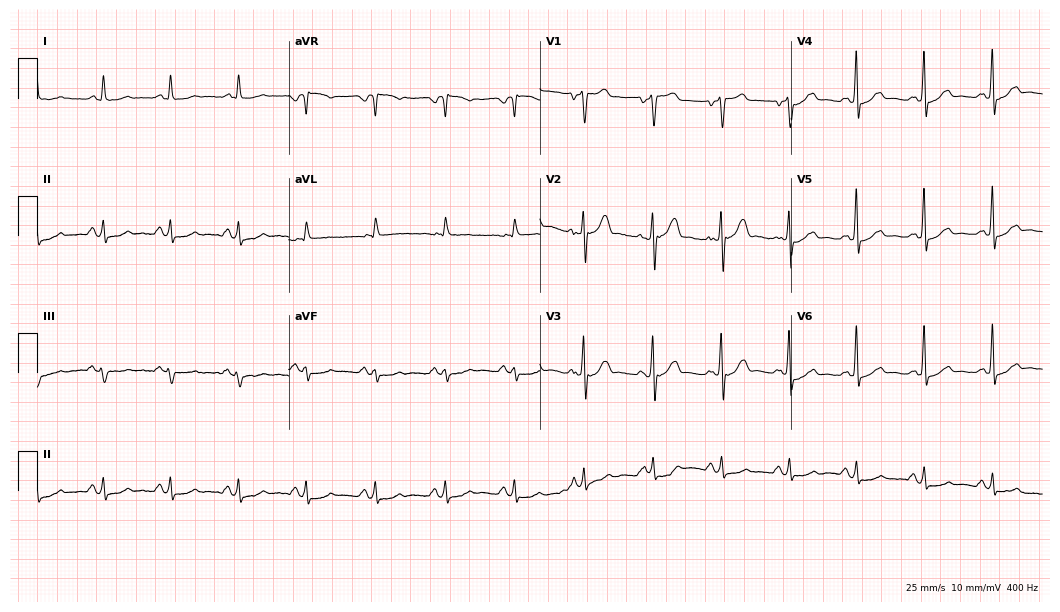
Electrocardiogram, a 66-year-old male patient. Overall reading on record: normal ECG.